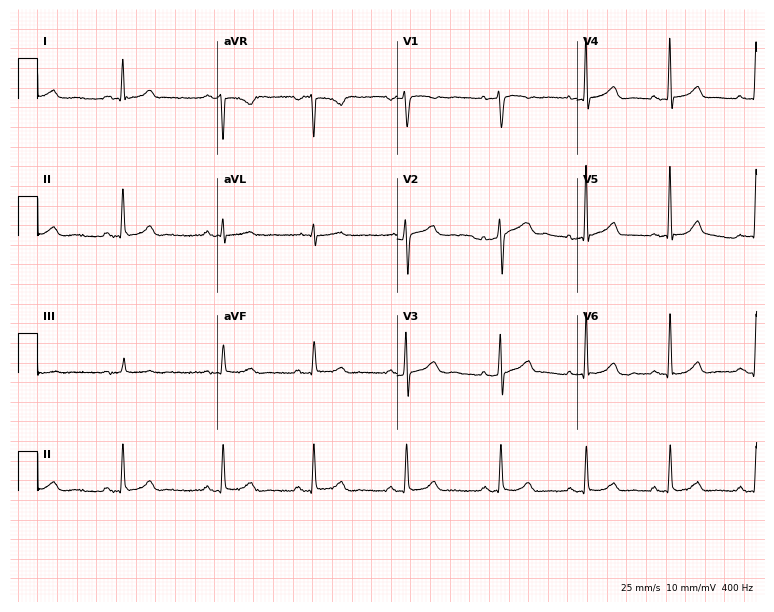
ECG (7.3-second recording at 400 Hz) — a female patient, 50 years old. Labelled as a normal ECG.